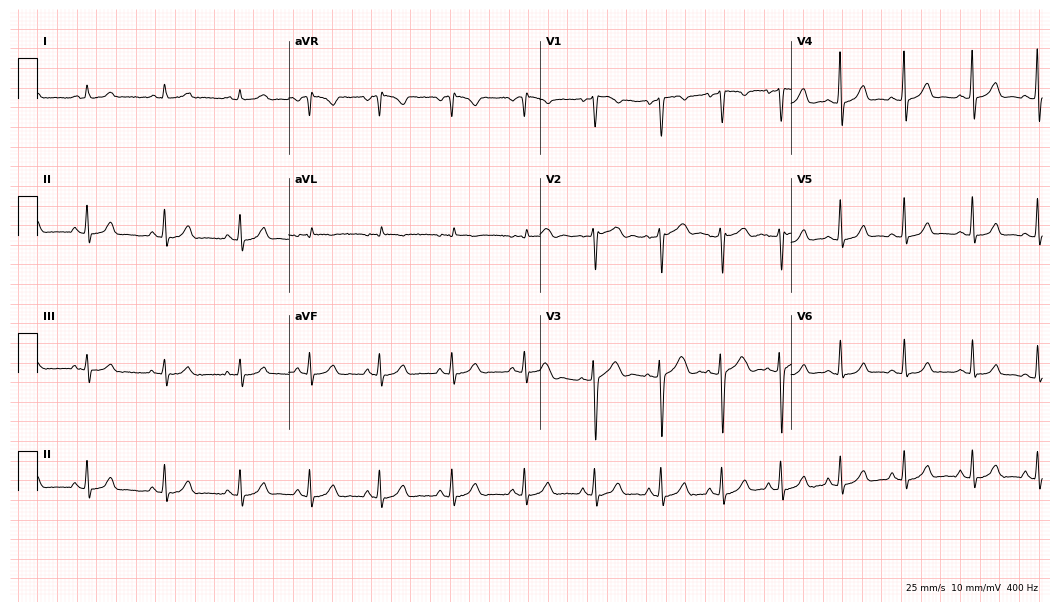
Standard 12-lead ECG recorded from a female patient, 19 years old. None of these six findings is recorded: first-degree AV block, right bundle branch block, left bundle branch block, sinus bradycardia, atrial fibrillation, sinus tachycardia.